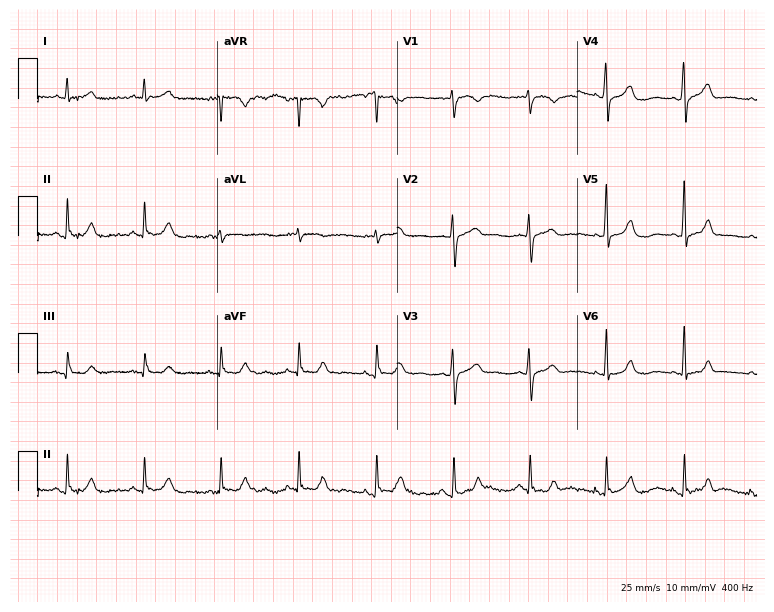
Electrocardiogram, a woman, 64 years old. Overall reading on record: normal ECG.